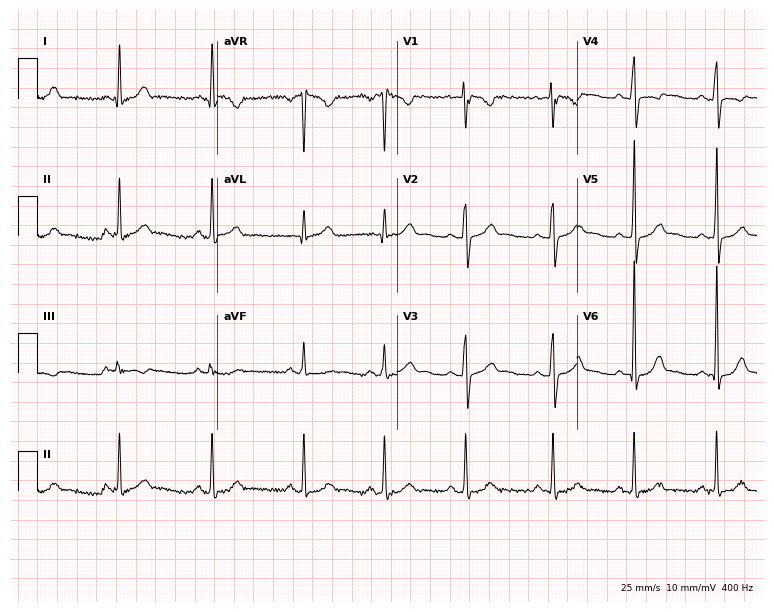
ECG — a 23-year-old female patient. Screened for six findings — first-degree AV block, right bundle branch block (RBBB), left bundle branch block (LBBB), sinus bradycardia, atrial fibrillation (AF), sinus tachycardia — none is recorded.